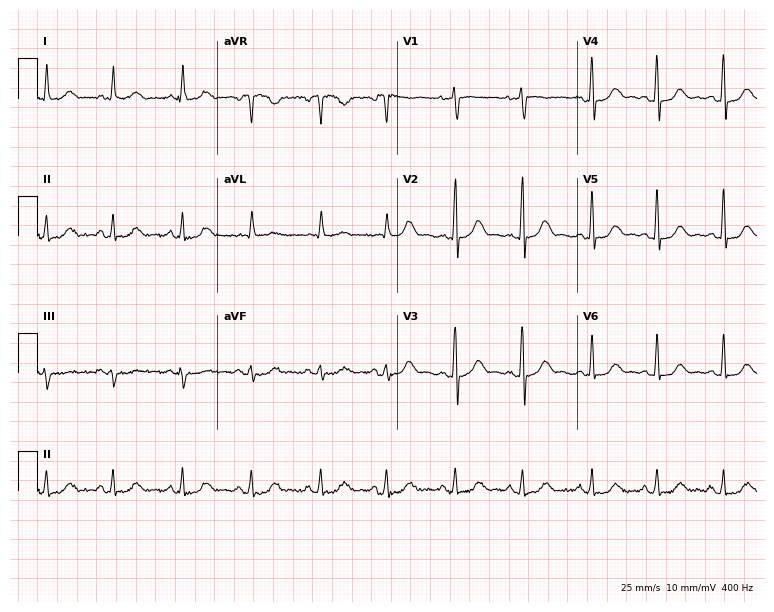
Resting 12-lead electrocardiogram. Patient: a 65-year-old woman. Read as a normal ECG.